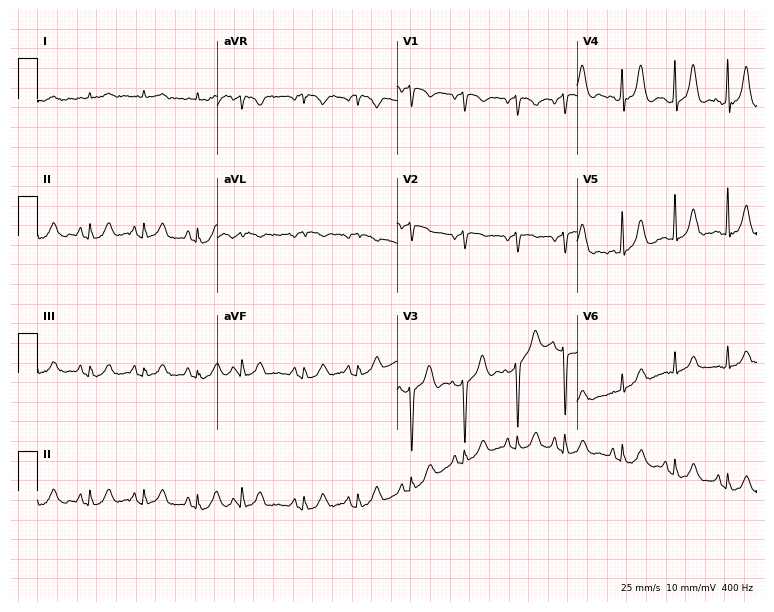
Standard 12-lead ECG recorded from a female patient, 79 years old. The tracing shows sinus tachycardia (a sinus rate of 100 beats per minute or more).